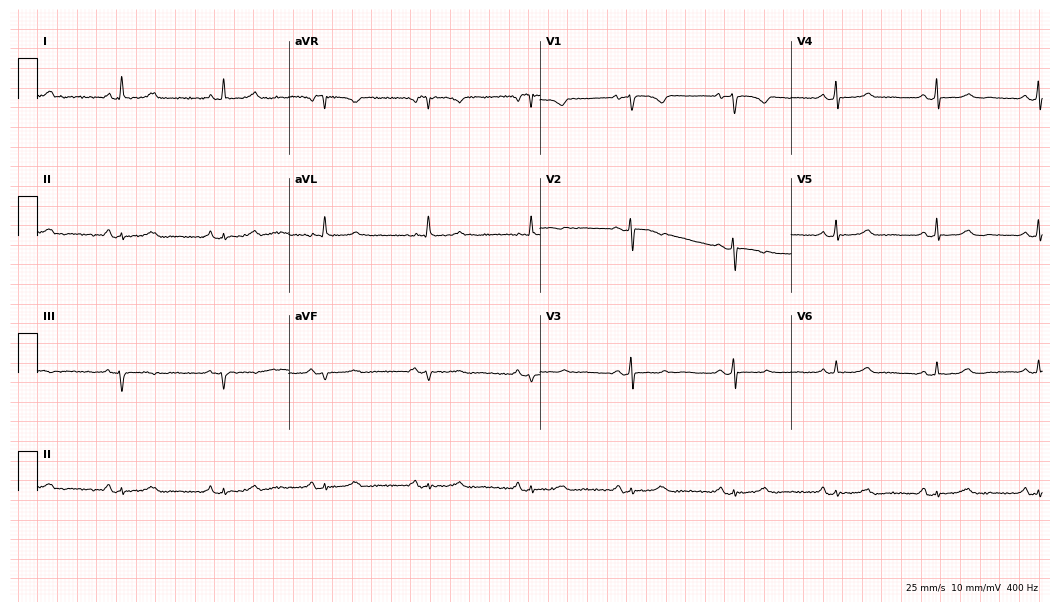
Electrocardiogram (10.2-second recording at 400 Hz), a woman, 50 years old. Of the six screened findings (first-degree AV block, right bundle branch block (RBBB), left bundle branch block (LBBB), sinus bradycardia, atrial fibrillation (AF), sinus tachycardia), none is recorded.